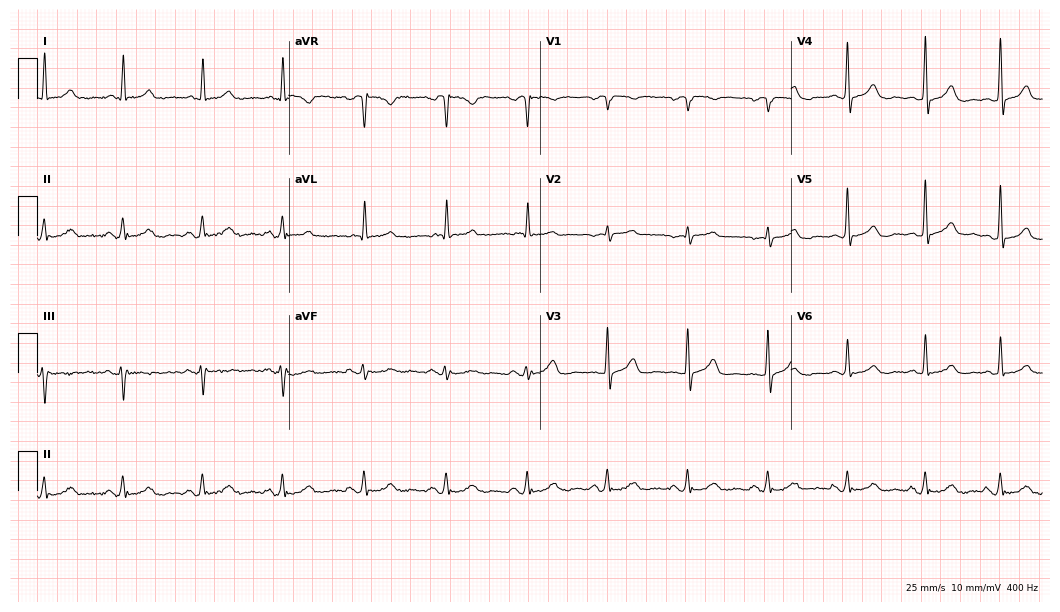
ECG (10.2-second recording at 400 Hz) — a female, 72 years old. Labelled as a normal ECG.